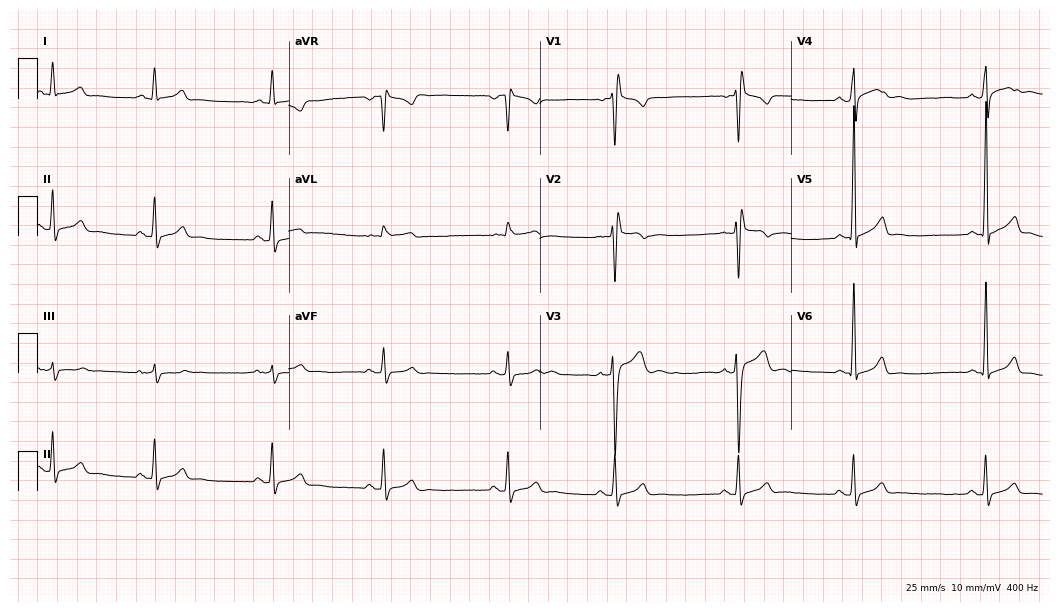
12-lead ECG from a male, 19 years old. Findings include right bundle branch block.